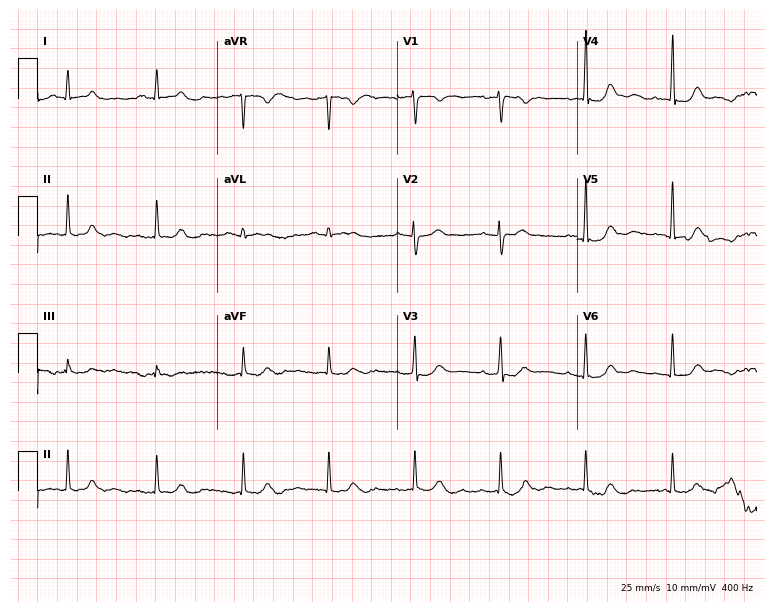
ECG (7.3-second recording at 400 Hz) — a 68-year-old female patient. Labelled as a normal ECG.